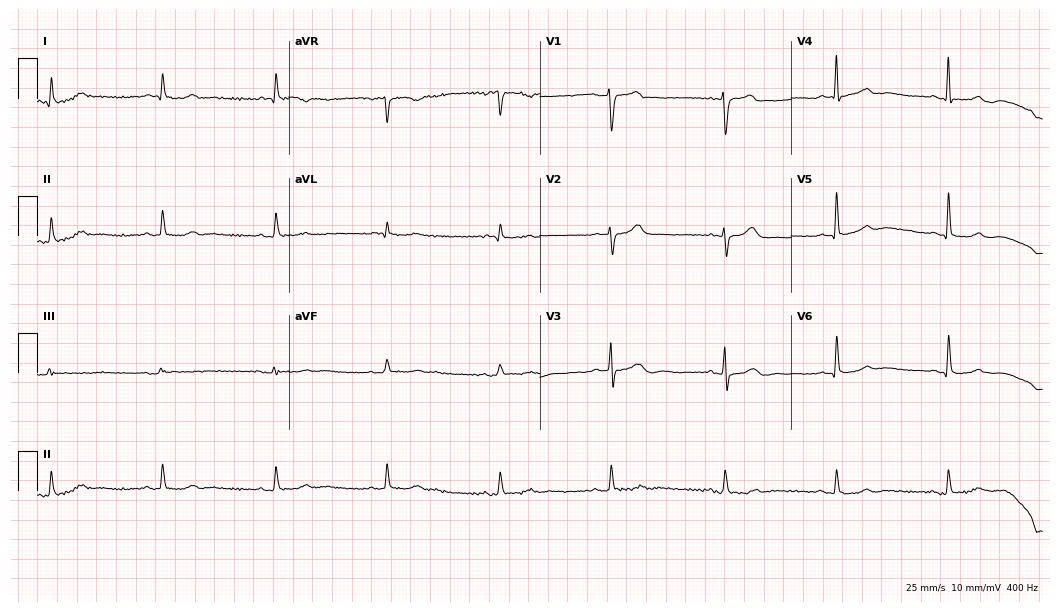
ECG (10.2-second recording at 400 Hz) — a male, 84 years old. Labelled as a normal ECG.